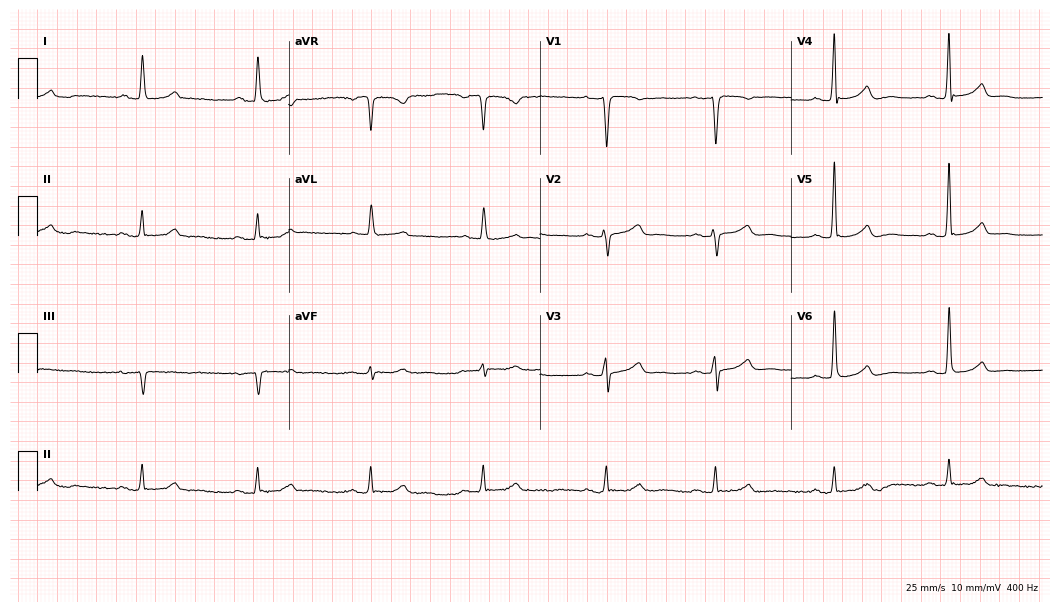
Resting 12-lead electrocardiogram. Patient: a female, 62 years old. The tracing shows right bundle branch block.